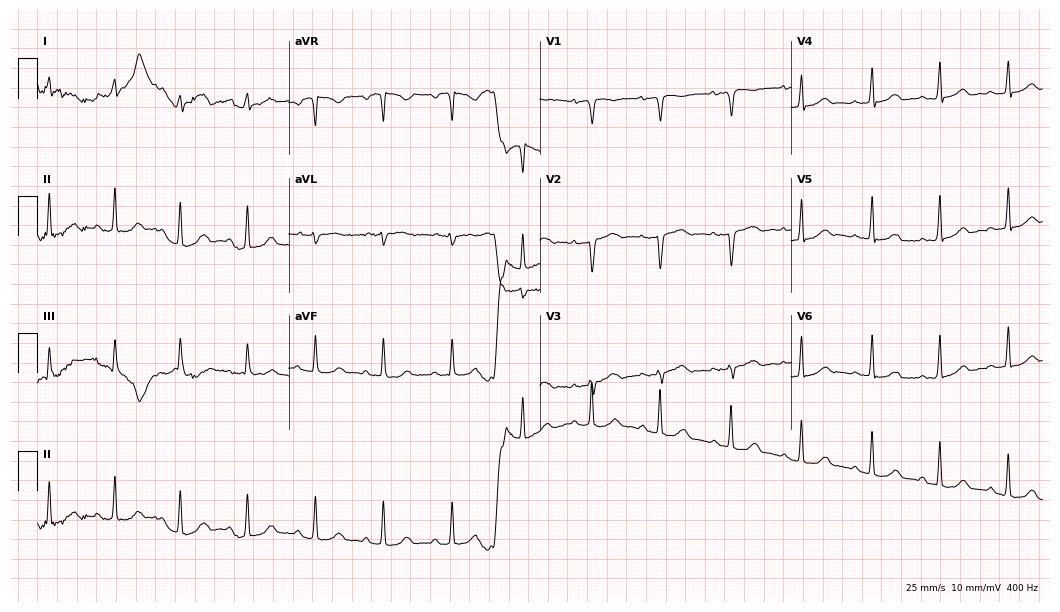
ECG — a female, 36 years old. Screened for six findings — first-degree AV block, right bundle branch block (RBBB), left bundle branch block (LBBB), sinus bradycardia, atrial fibrillation (AF), sinus tachycardia — none is recorded. Findings outside these six are not listed.